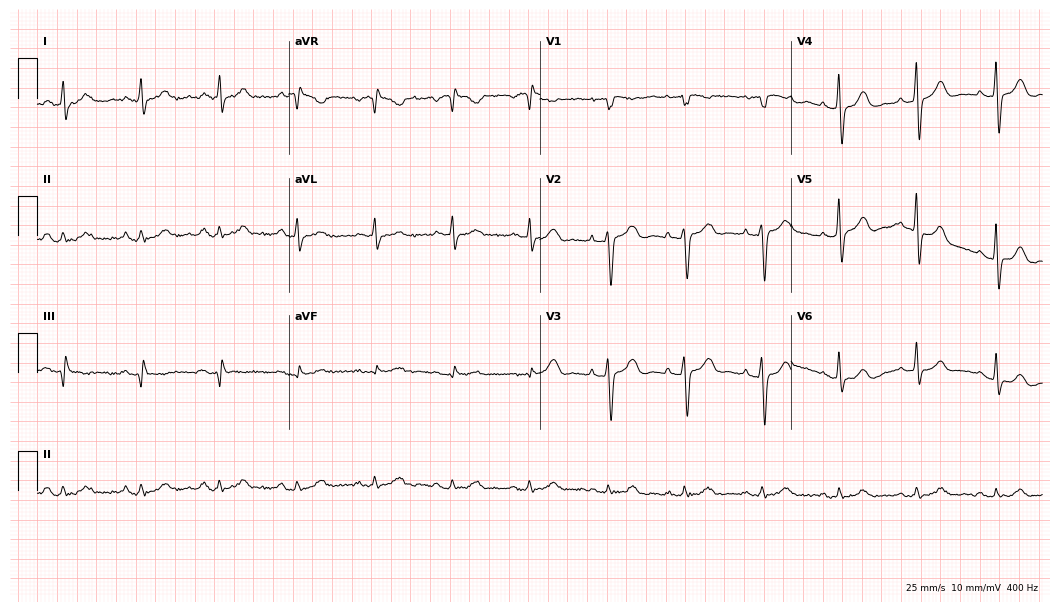
Standard 12-lead ECG recorded from a woman, 81 years old (10.2-second recording at 400 Hz). Read as a normal ECG.